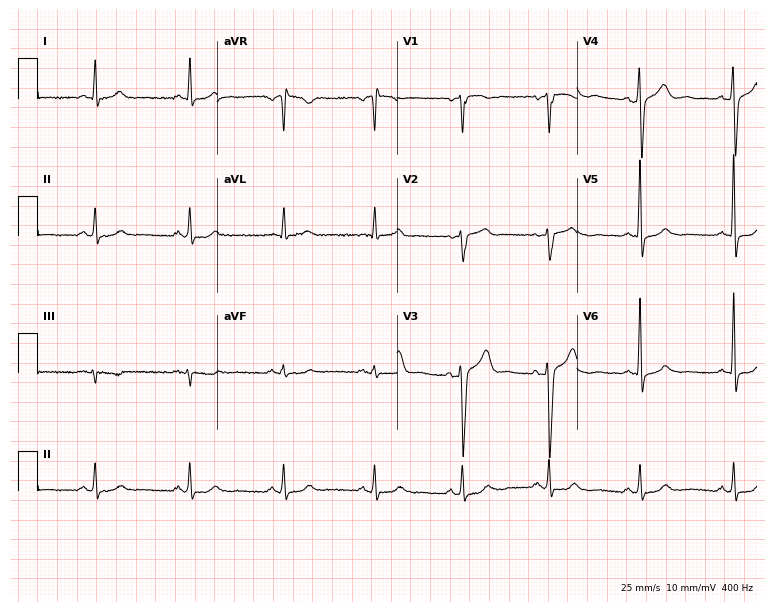
ECG (7.3-second recording at 400 Hz) — a man, 50 years old. Screened for six findings — first-degree AV block, right bundle branch block, left bundle branch block, sinus bradycardia, atrial fibrillation, sinus tachycardia — none is recorded. Findings outside these six are not listed.